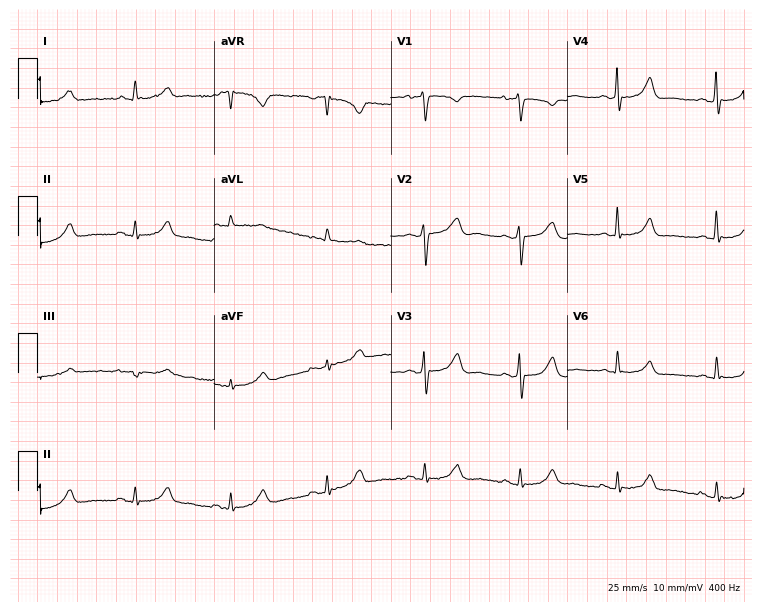
Electrocardiogram (7.2-second recording at 400 Hz), a woman, 61 years old. Of the six screened findings (first-degree AV block, right bundle branch block (RBBB), left bundle branch block (LBBB), sinus bradycardia, atrial fibrillation (AF), sinus tachycardia), none is recorded. Only these six findings were labelled.